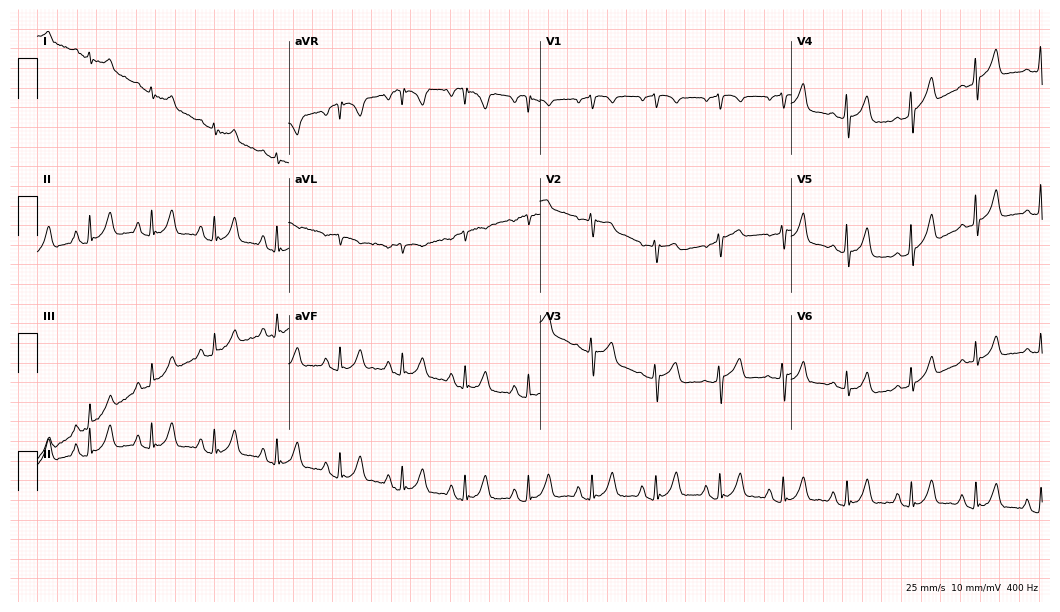
Electrocardiogram, a 62-year-old man. Overall reading on record: normal ECG.